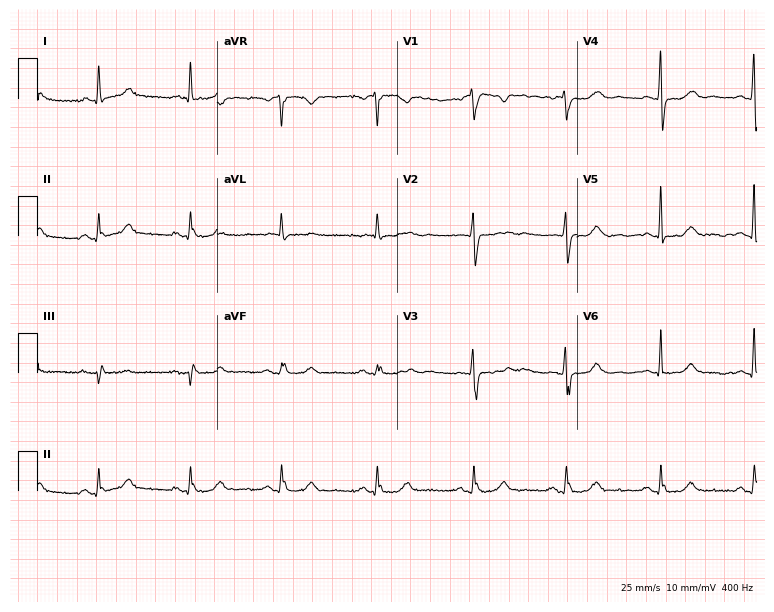
Standard 12-lead ECG recorded from a woman, 69 years old. None of these six findings is recorded: first-degree AV block, right bundle branch block (RBBB), left bundle branch block (LBBB), sinus bradycardia, atrial fibrillation (AF), sinus tachycardia. Findings outside these six are not listed.